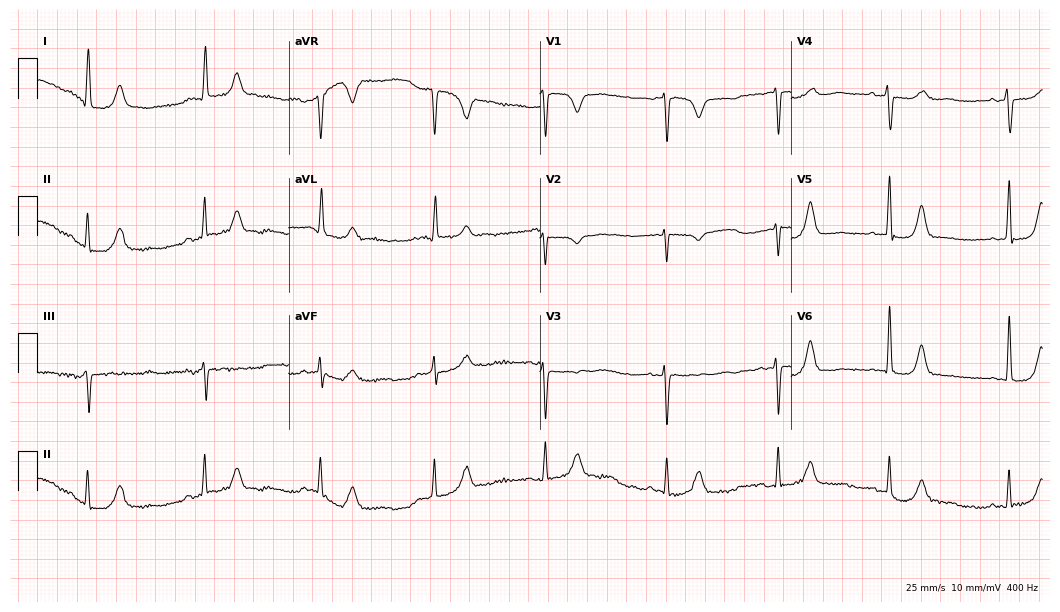
Electrocardiogram, a female patient, 81 years old. Of the six screened findings (first-degree AV block, right bundle branch block, left bundle branch block, sinus bradycardia, atrial fibrillation, sinus tachycardia), none is recorded.